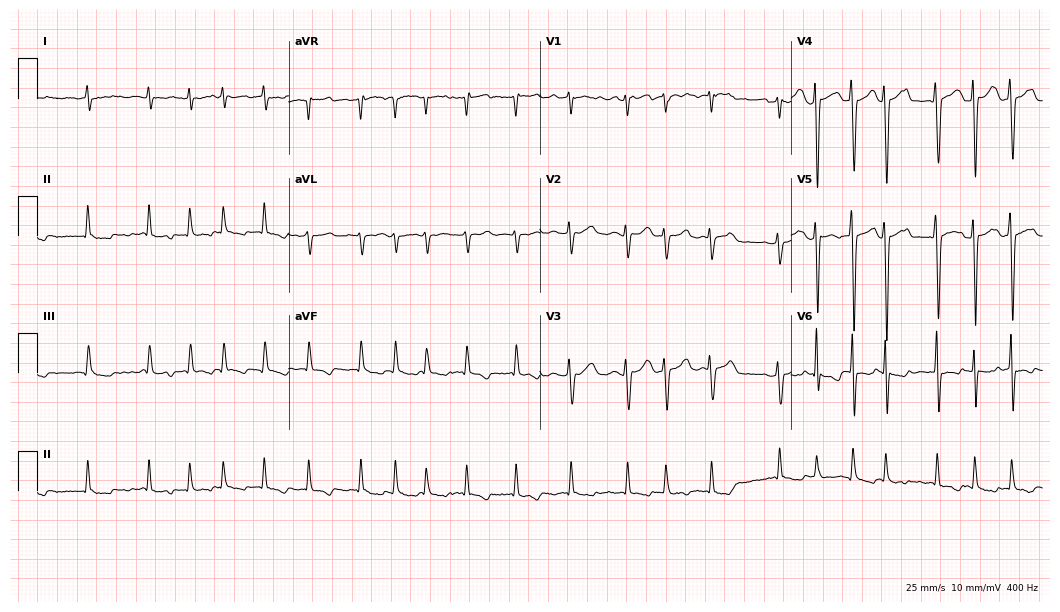
Standard 12-lead ECG recorded from a 75-year-old male (10.2-second recording at 400 Hz). The tracing shows atrial fibrillation (AF).